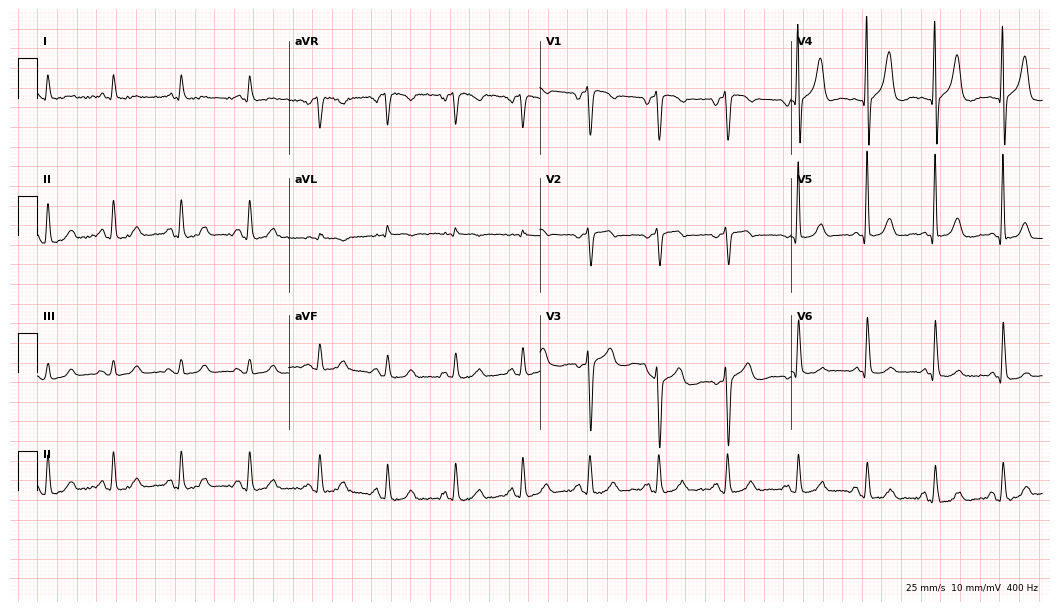
12-lead ECG from a male, 79 years old. No first-degree AV block, right bundle branch block (RBBB), left bundle branch block (LBBB), sinus bradycardia, atrial fibrillation (AF) or sinus tachycardia recorded for this tracing.